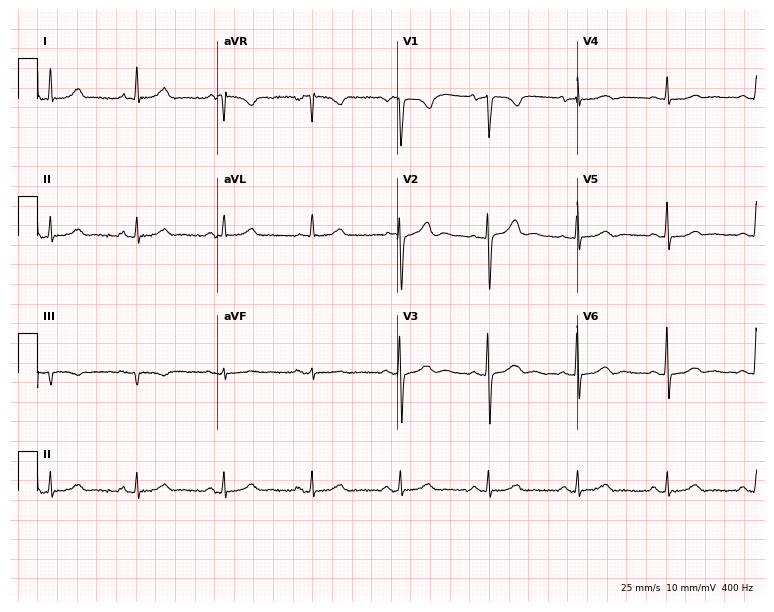
Standard 12-lead ECG recorded from a 64-year-old female patient. Read as a normal ECG.